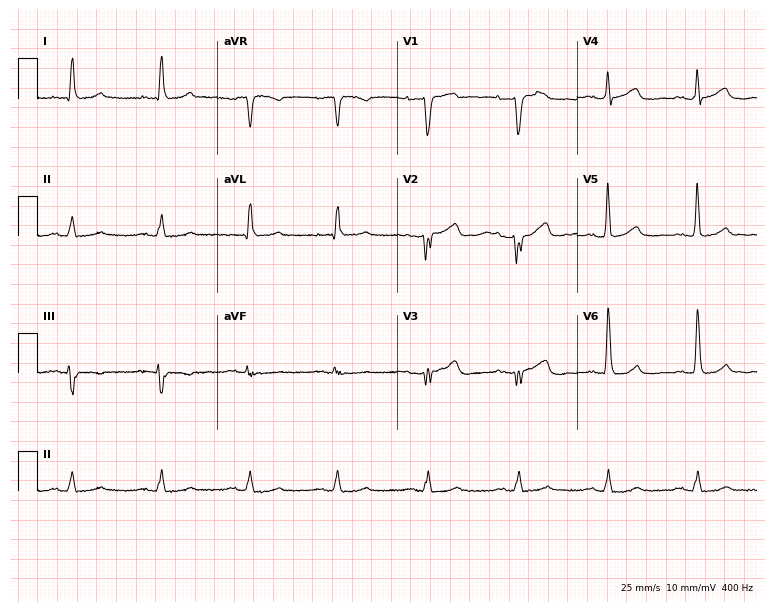
Standard 12-lead ECG recorded from a female, 72 years old (7.3-second recording at 400 Hz). None of these six findings is recorded: first-degree AV block, right bundle branch block, left bundle branch block, sinus bradycardia, atrial fibrillation, sinus tachycardia. Findings outside these six are not listed.